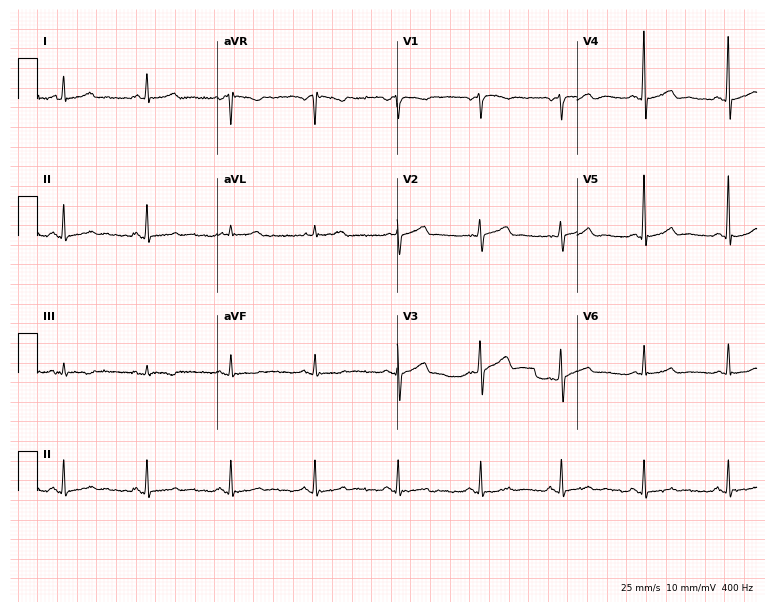
ECG — a 63-year-old male. Screened for six findings — first-degree AV block, right bundle branch block (RBBB), left bundle branch block (LBBB), sinus bradycardia, atrial fibrillation (AF), sinus tachycardia — none is recorded.